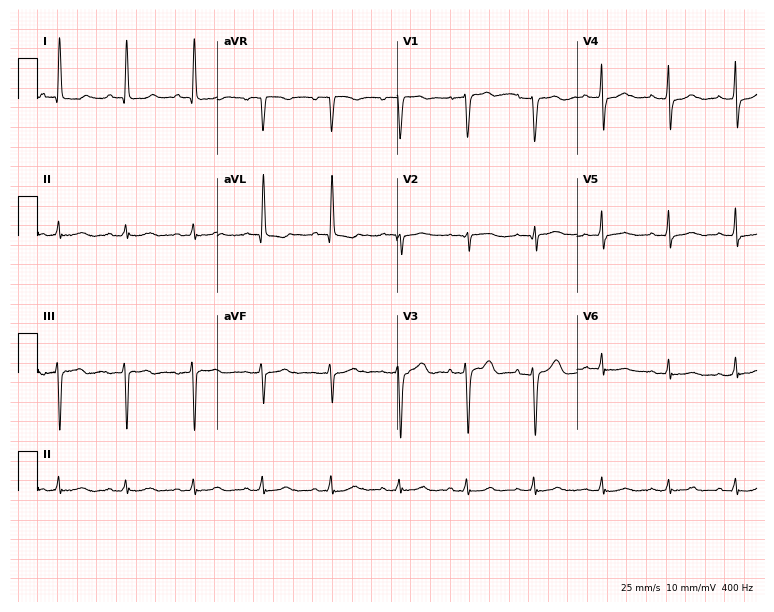
Resting 12-lead electrocardiogram. Patient: a 68-year-old female. Read as a normal ECG.